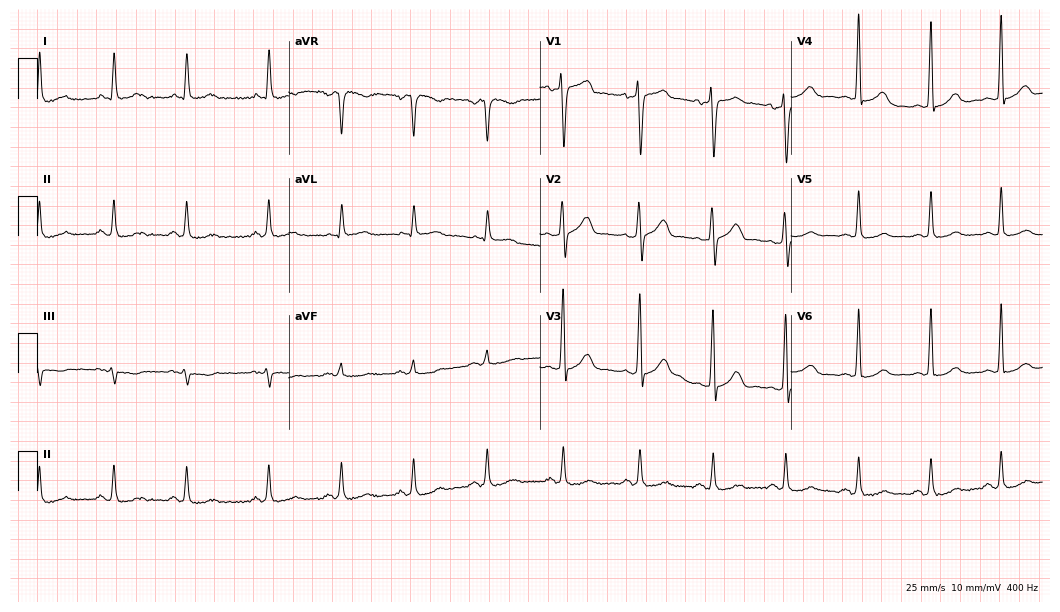
Electrocardiogram (10.2-second recording at 400 Hz), a man, 53 years old. Of the six screened findings (first-degree AV block, right bundle branch block, left bundle branch block, sinus bradycardia, atrial fibrillation, sinus tachycardia), none is recorded. Findings outside these six are not listed.